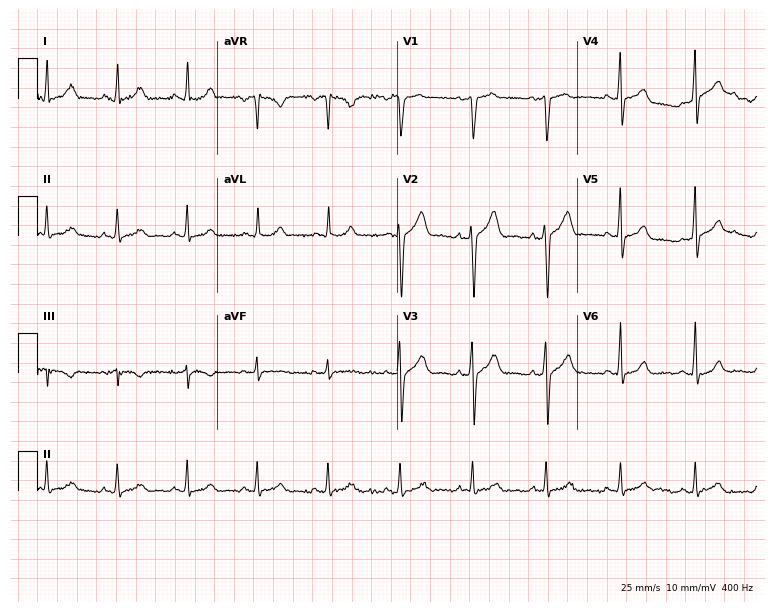
12-lead ECG from a man, 46 years old. Labelled as a normal ECG.